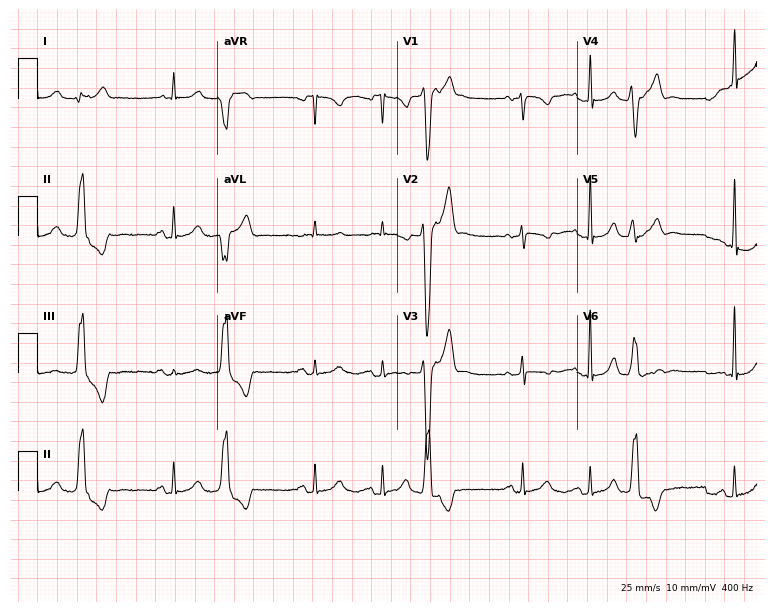
Electrocardiogram (7.3-second recording at 400 Hz), a woman, 60 years old. Of the six screened findings (first-degree AV block, right bundle branch block (RBBB), left bundle branch block (LBBB), sinus bradycardia, atrial fibrillation (AF), sinus tachycardia), none is recorded.